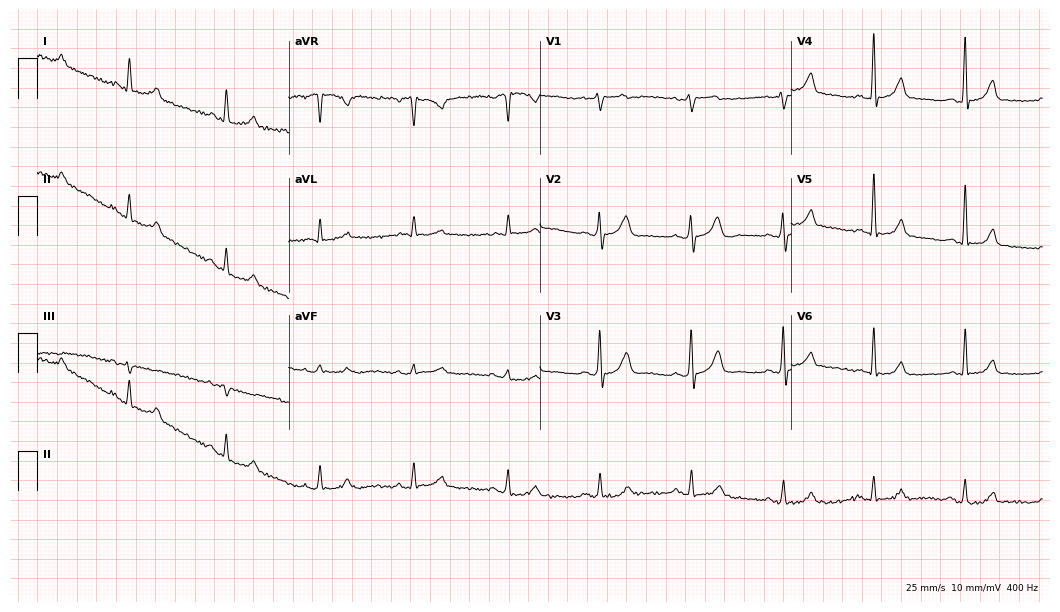
12-lead ECG from an 82-year-old male. Labelled as a normal ECG.